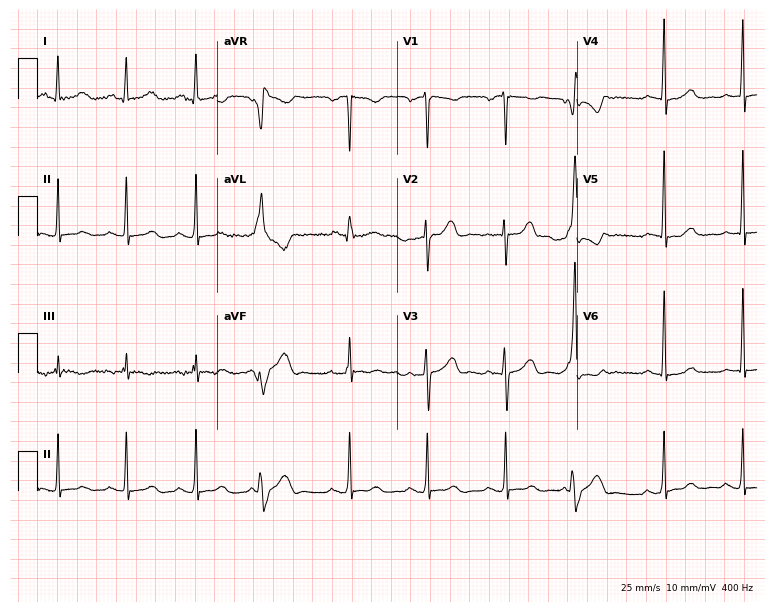
Electrocardiogram, a 27-year-old female. Of the six screened findings (first-degree AV block, right bundle branch block (RBBB), left bundle branch block (LBBB), sinus bradycardia, atrial fibrillation (AF), sinus tachycardia), none is recorded.